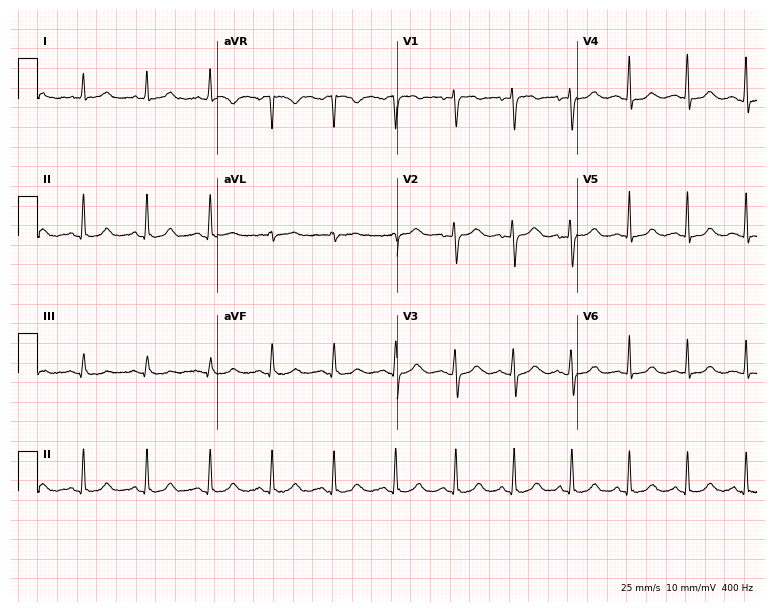
Resting 12-lead electrocardiogram. Patient: a 50-year-old woman. Read as a normal ECG.